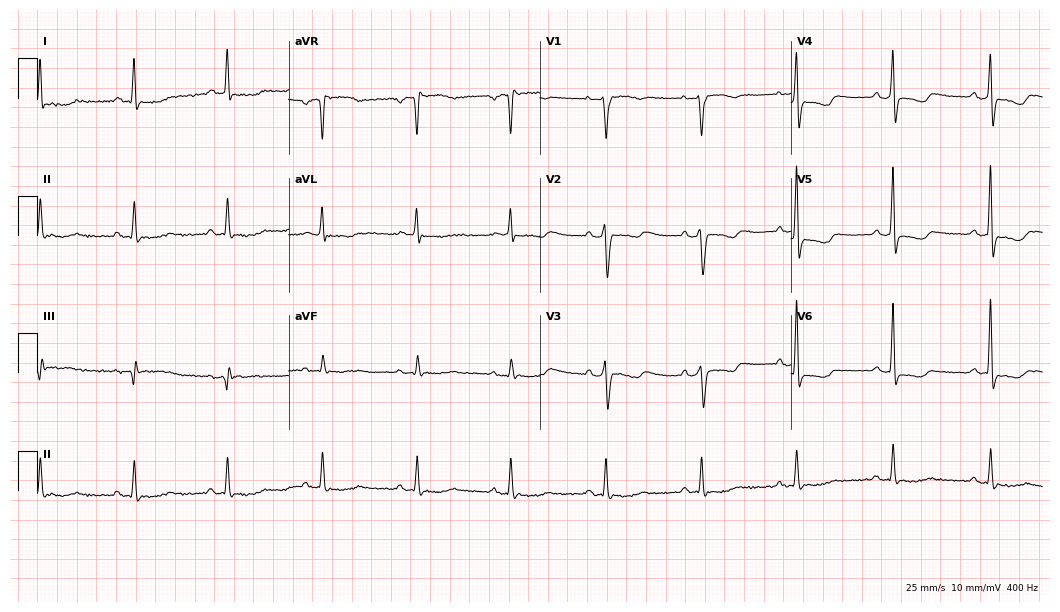
Standard 12-lead ECG recorded from a man, 76 years old (10.2-second recording at 400 Hz). None of these six findings is recorded: first-degree AV block, right bundle branch block (RBBB), left bundle branch block (LBBB), sinus bradycardia, atrial fibrillation (AF), sinus tachycardia. Findings outside these six are not listed.